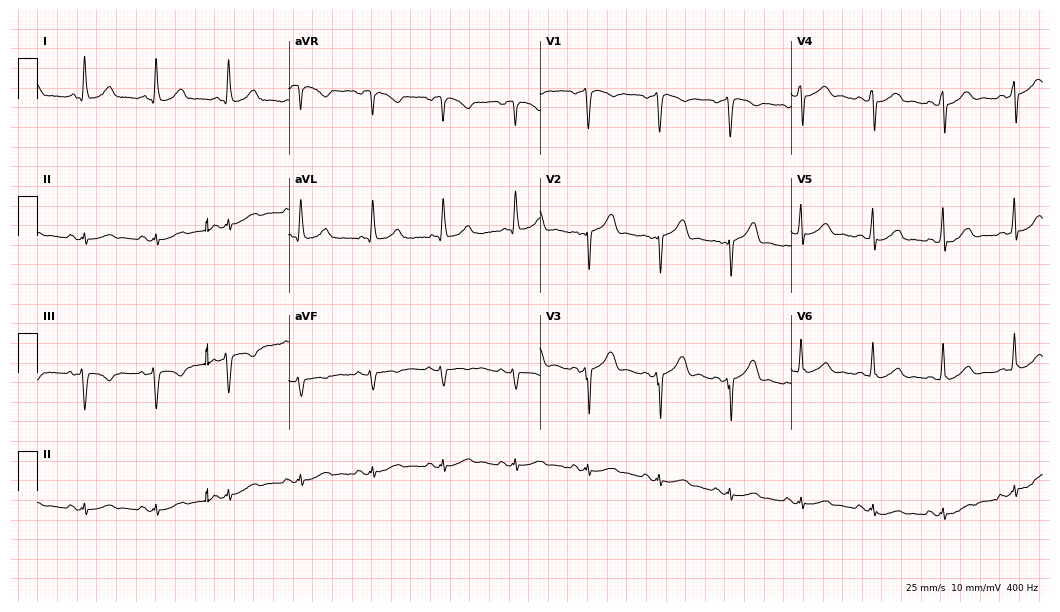
Standard 12-lead ECG recorded from a male, 73 years old. Read as a normal ECG.